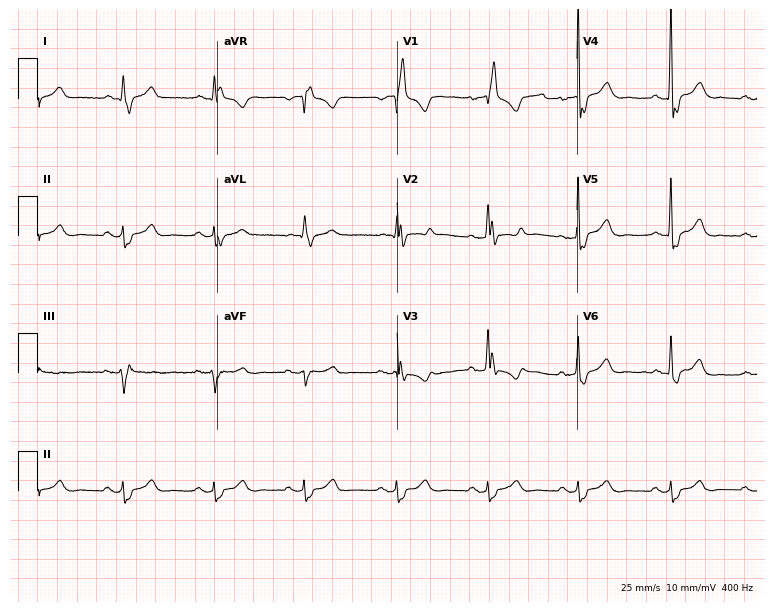
12-lead ECG from a 70-year-old man (7.3-second recording at 400 Hz). Shows right bundle branch block.